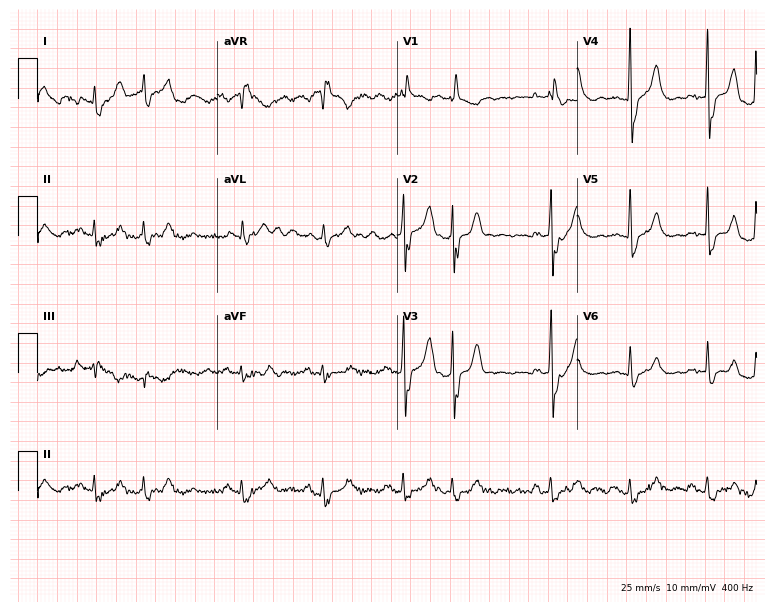
12-lead ECG (7.3-second recording at 400 Hz) from a 78-year-old woman. Screened for six findings — first-degree AV block, right bundle branch block, left bundle branch block, sinus bradycardia, atrial fibrillation, sinus tachycardia — none is recorded.